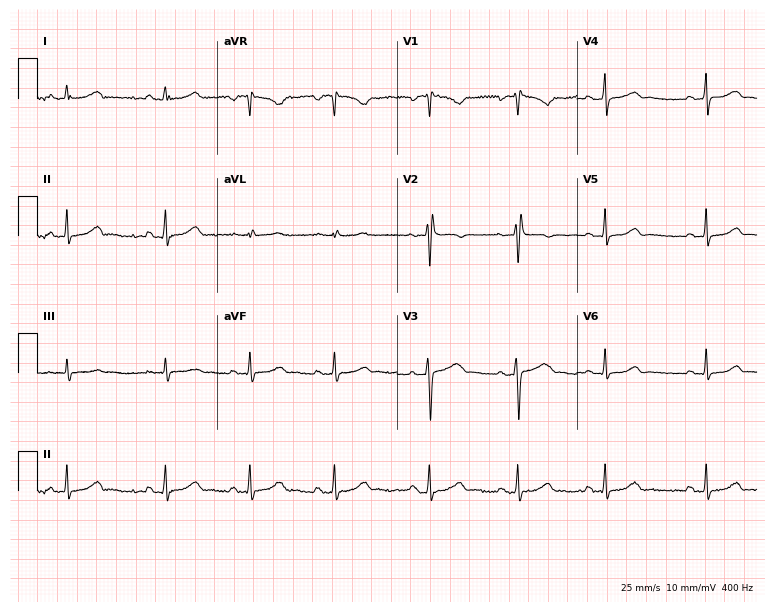
Standard 12-lead ECG recorded from a 23-year-old woman (7.3-second recording at 400 Hz). None of these six findings is recorded: first-degree AV block, right bundle branch block (RBBB), left bundle branch block (LBBB), sinus bradycardia, atrial fibrillation (AF), sinus tachycardia. Findings outside these six are not listed.